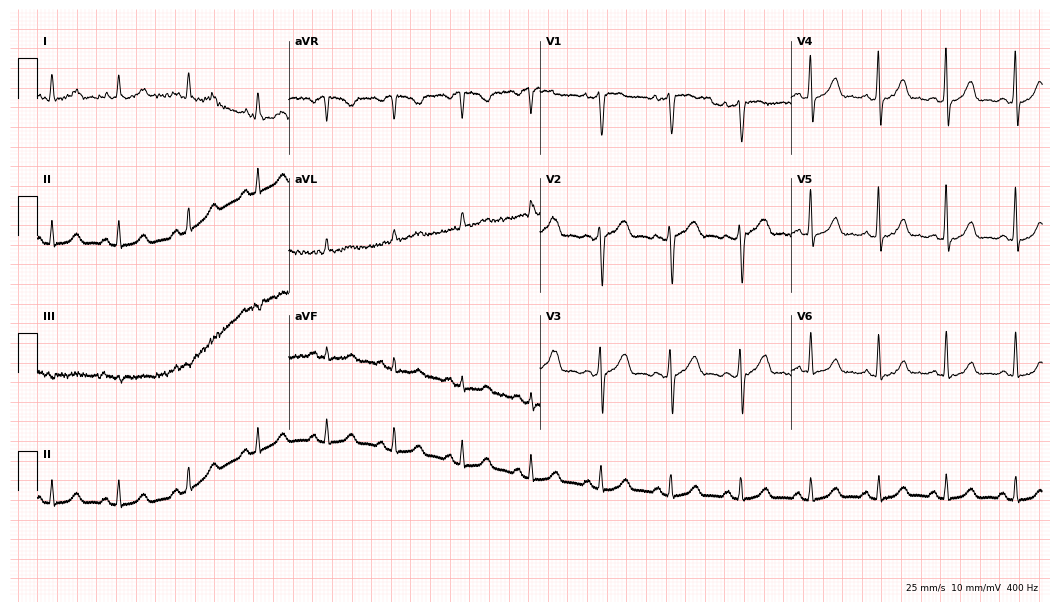
Electrocardiogram (10.2-second recording at 400 Hz), a 53-year-old female patient. Of the six screened findings (first-degree AV block, right bundle branch block, left bundle branch block, sinus bradycardia, atrial fibrillation, sinus tachycardia), none is recorded. Other findings, if any, are not listed.